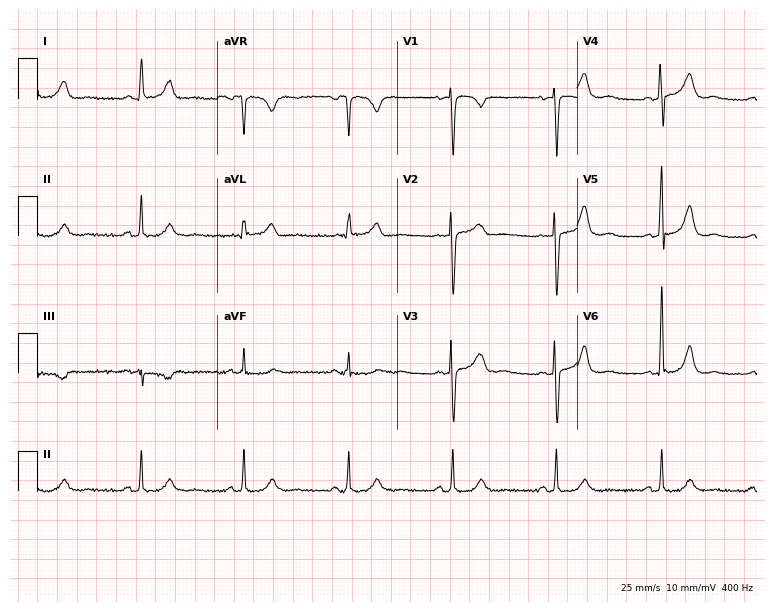
Standard 12-lead ECG recorded from a 58-year-old woman. None of these six findings is recorded: first-degree AV block, right bundle branch block, left bundle branch block, sinus bradycardia, atrial fibrillation, sinus tachycardia. Other findings, if any, are not listed.